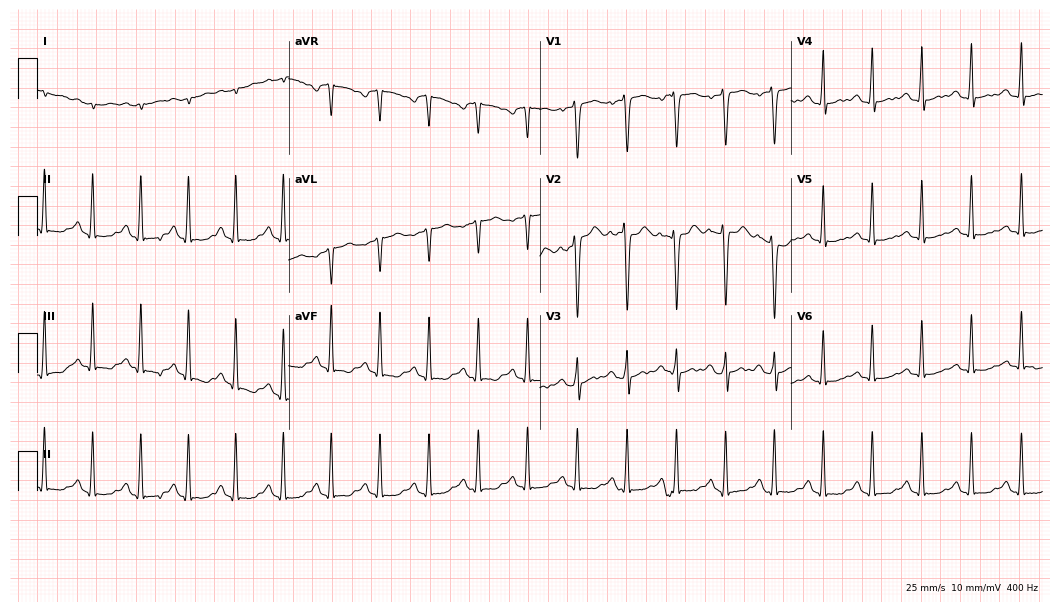
Electrocardiogram (10.2-second recording at 400 Hz), a female patient, 24 years old. Interpretation includes sinus tachycardia (a sinus rate of 100 beats per minute or more).